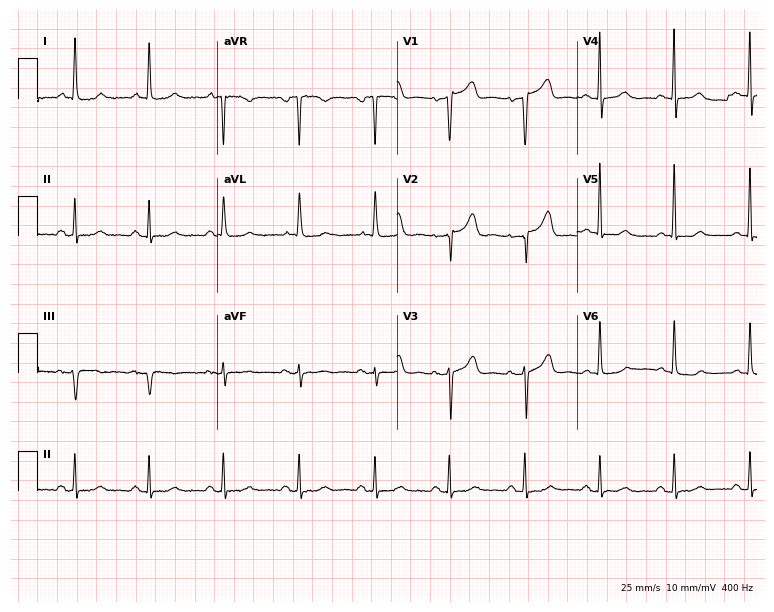
Resting 12-lead electrocardiogram. Patient: a 77-year-old female. None of these six findings is recorded: first-degree AV block, right bundle branch block, left bundle branch block, sinus bradycardia, atrial fibrillation, sinus tachycardia. Findings outside these six are not listed.